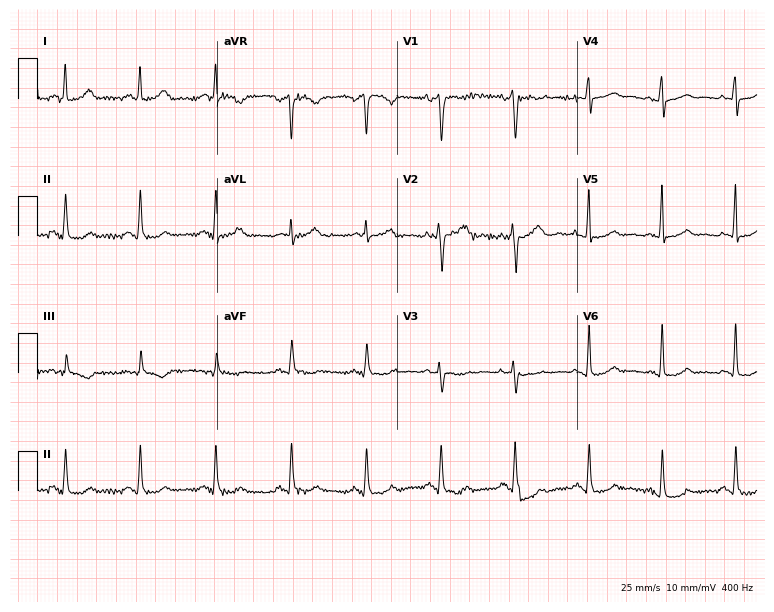
12-lead ECG (7.3-second recording at 400 Hz) from a 43-year-old female patient. Screened for six findings — first-degree AV block, right bundle branch block, left bundle branch block, sinus bradycardia, atrial fibrillation, sinus tachycardia — none is recorded.